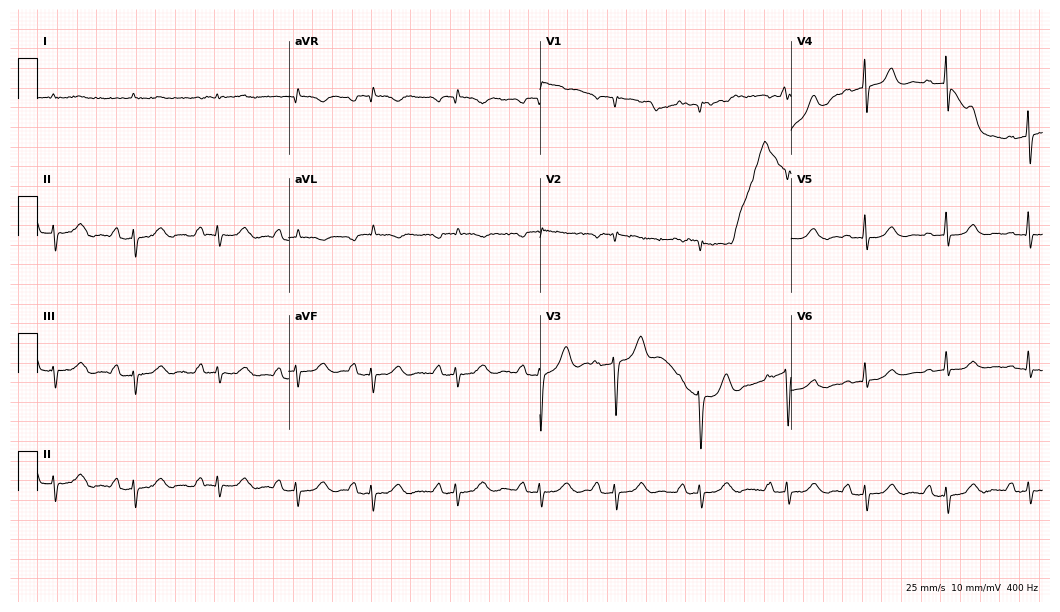
12-lead ECG (10.2-second recording at 400 Hz) from an 86-year-old male. Screened for six findings — first-degree AV block, right bundle branch block, left bundle branch block, sinus bradycardia, atrial fibrillation, sinus tachycardia — none is recorded. Only these six findings were labelled.